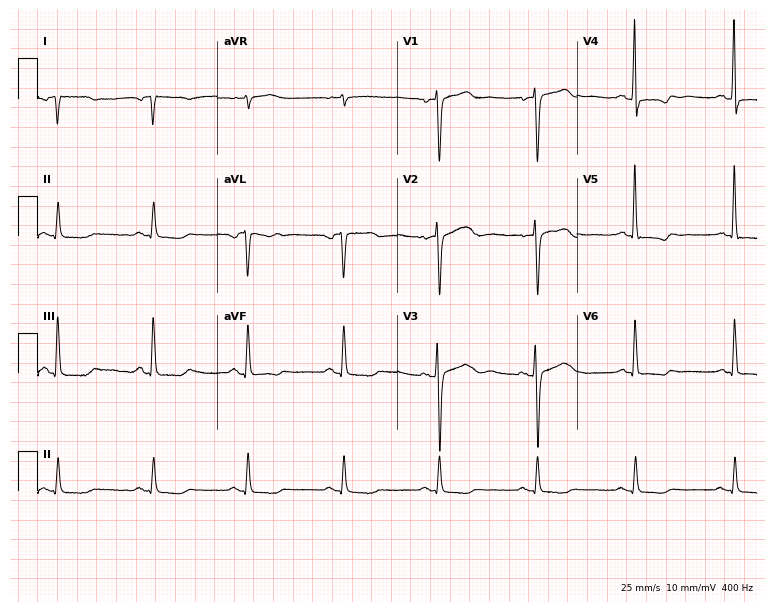
12-lead ECG from a 65-year-old woman. Screened for six findings — first-degree AV block, right bundle branch block, left bundle branch block, sinus bradycardia, atrial fibrillation, sinus tachycardia — none is recorded.